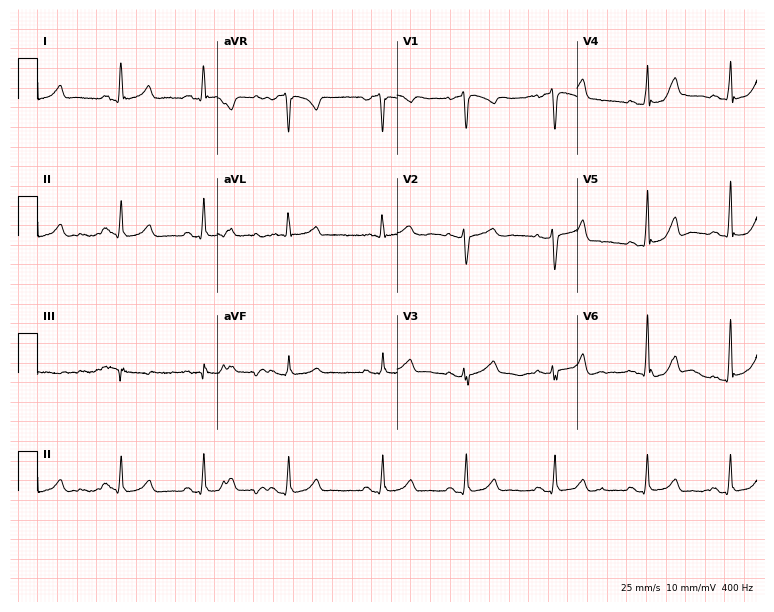
12-lead ECG (7.3-second recording at 400 Hz) from a woman, 42 years old. Labelled as a normal ECG.